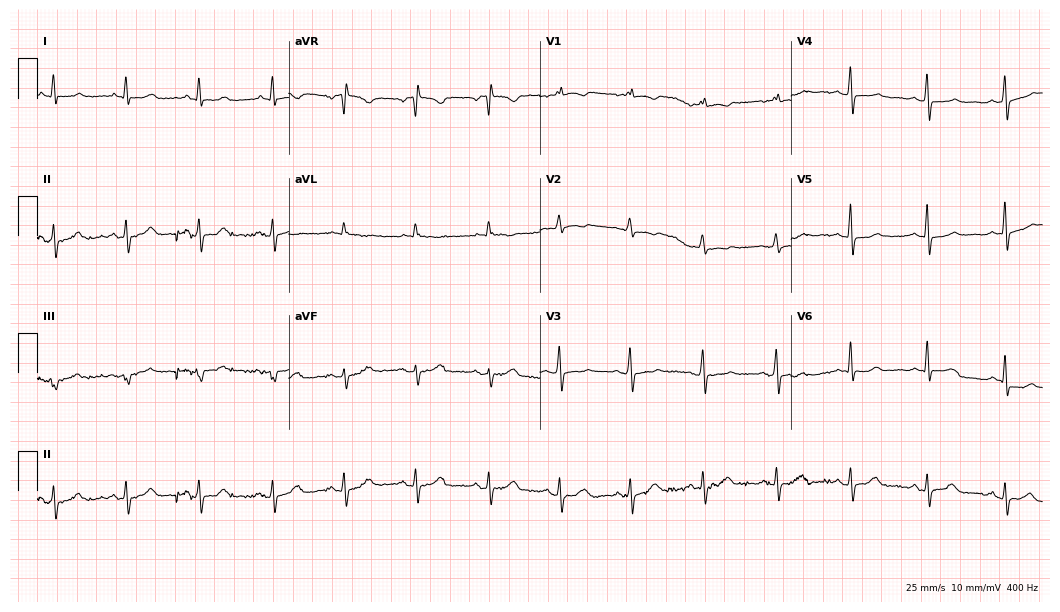
Resting 12-lead electrocardiogram (10.2-second recording at 400 Hz). Patient: a 65-year-old female. None of these six findings is recorded: first-degree AV block, right bundle branch block, left bundle branch block, sinus bradycardia, atrial fibrillation, sinus tachycardia.